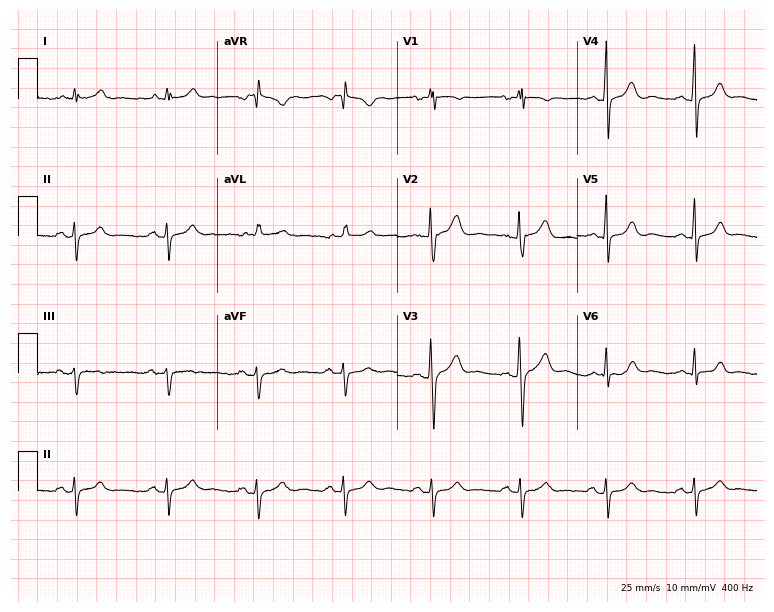
12-lead ECG from a female, 58 years old. No first-degree AV block, right bundle branch block (RBBB), left bundle branch block (LBBB), sinus bradycardia, atrial fibrillation (AF) or sinus tachycardia recorded for this tracing. Findings outside these six are not listed.